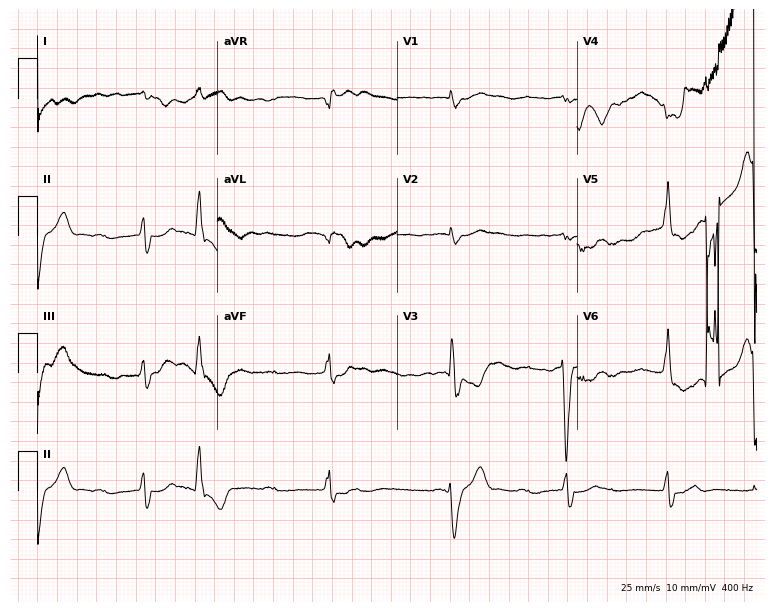
12-lead ECG (7.3-second recording at 400 Hz) from an 81-year-old man. Screened for six findings — first-degree AV block, right bundle branch block, left bundle branch block, sinus bradycardia, atrial fibrillation, sinus tachycardia — none is recorded.